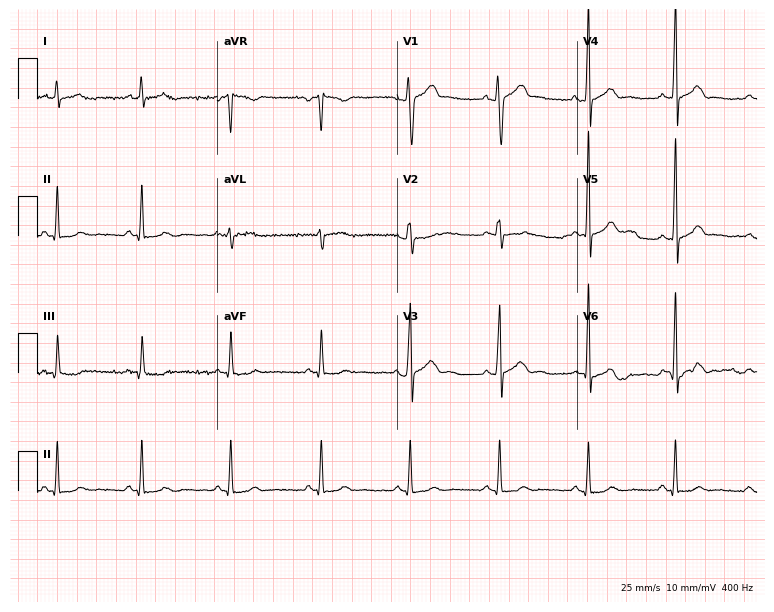
ECG (7.3-second recording at 400 Hz) — a man, 34 years old. Labelled as a normal ECG.